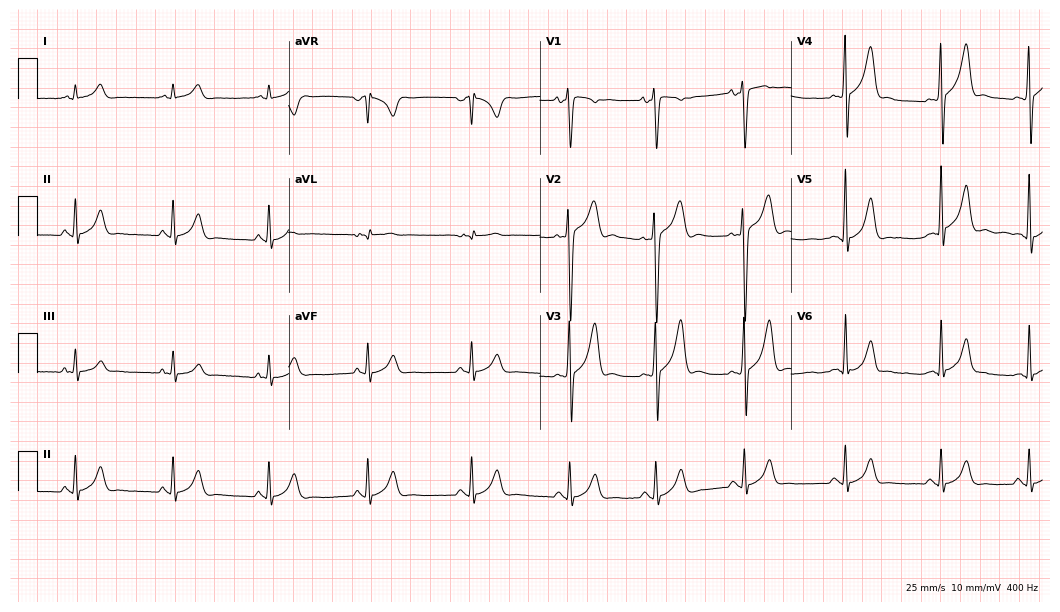
Electrocardiogram (10.2-second recording at 400 Hz), a 17-year-old male. Overall reading on record: normal ECG.